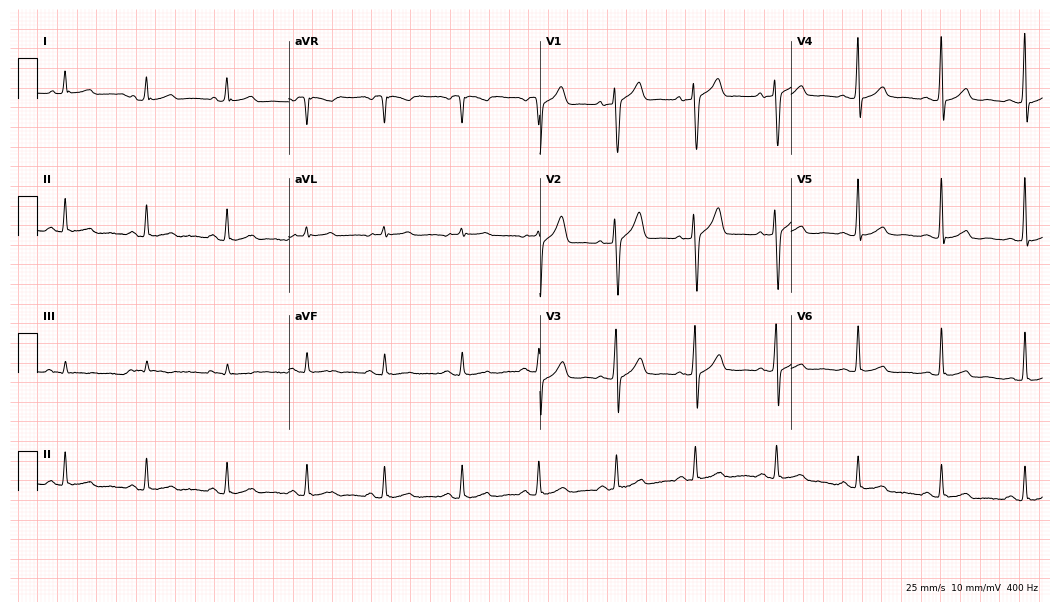
12-lead ECG from a man, 56 years old (10.2-second recording at 400 Hz). Recorded interpretation: within normal limits.